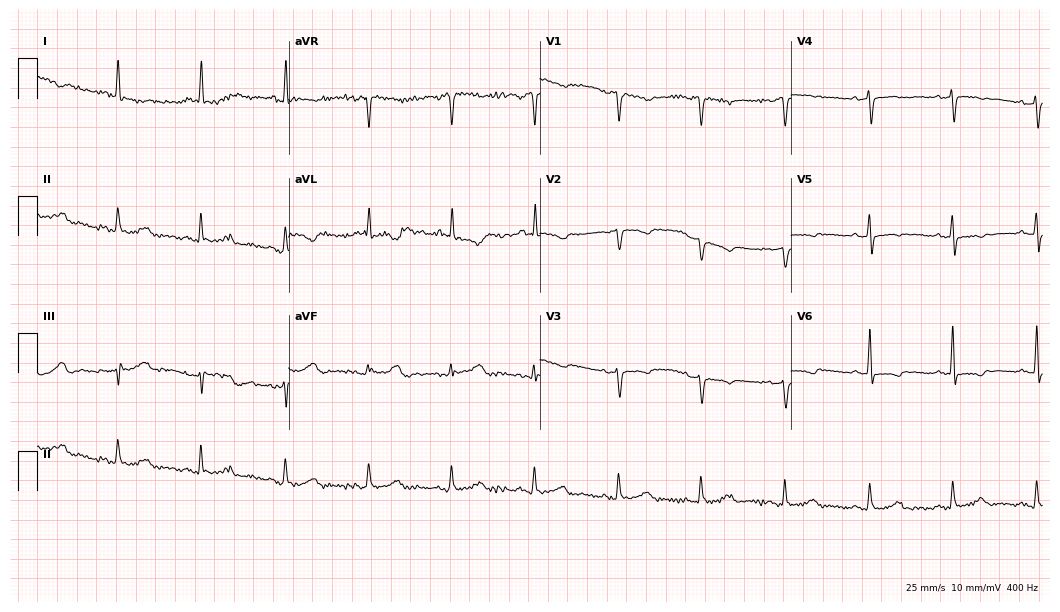
ECG — an 85-year-old woman. Screened for six findings — first-degree AV block, right bundle branch block (RBBB), left bundle branch block (LBBB), sinus bradycardia, atrial fibrillation (AF), sinus tachycardia — none is recorded.